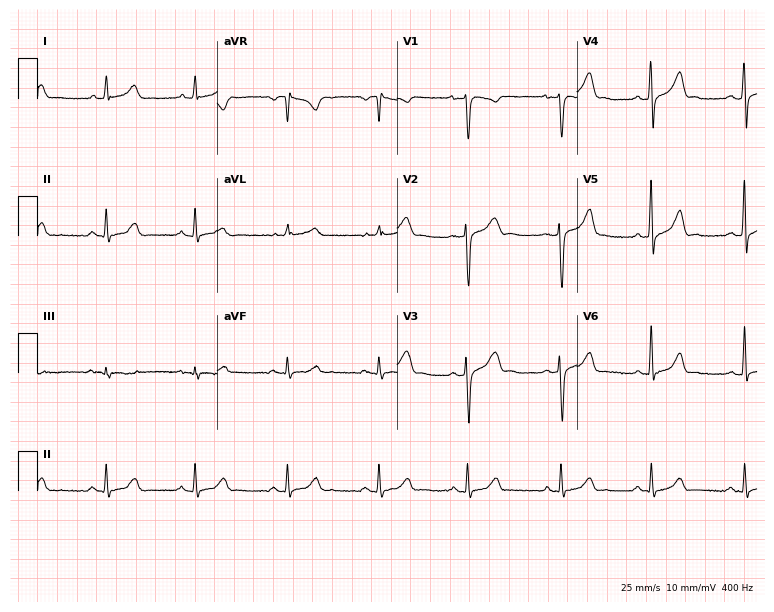
ECG — a 34-year-old male. Labelled as a normal ECG.